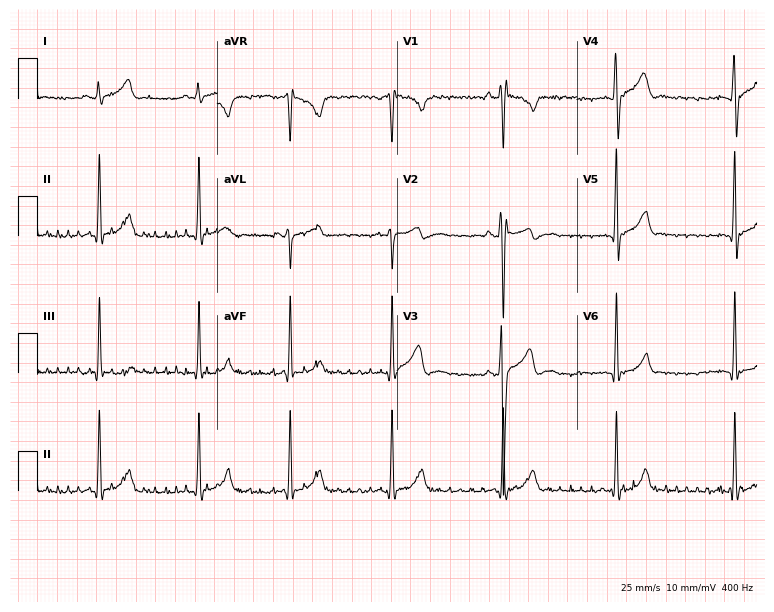
Resting 12-lead electrocardiogram. Patient: a 19-year-old male. None of these six findings is recorded: first-degree AV block, right bundle branch block (RBBB), left bundle branch block (LBBB), sinus bradycardia, atrial fibrillation (AF), sinus tachycardia. Other findings, if any, are not listed.